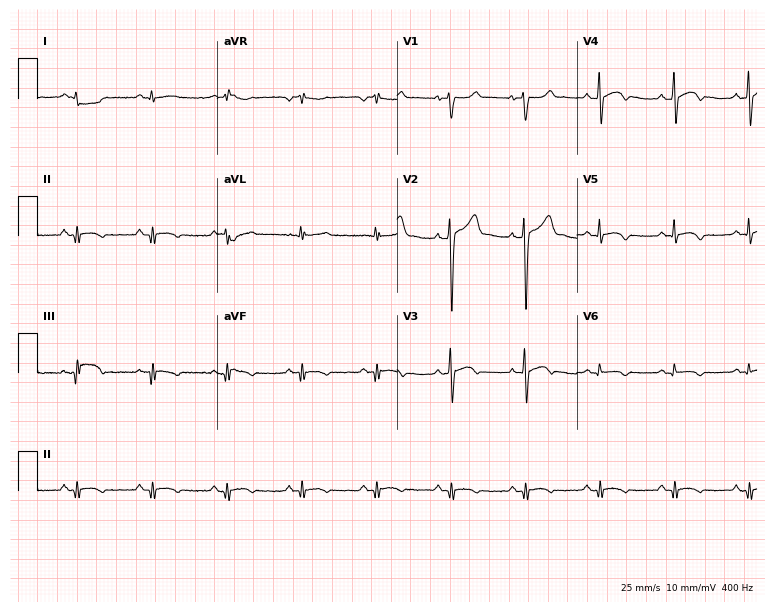
Electrocardiogram, a 31-year-old male. Of the six screened findings (first-degree AV block, right bundle branch block (RBBB), left bundle branch block (LBBB), sinus bradycardia, atrial fibrillation (AF), sinus tachycardia), none is recorded. Findings outside these six are not listed.